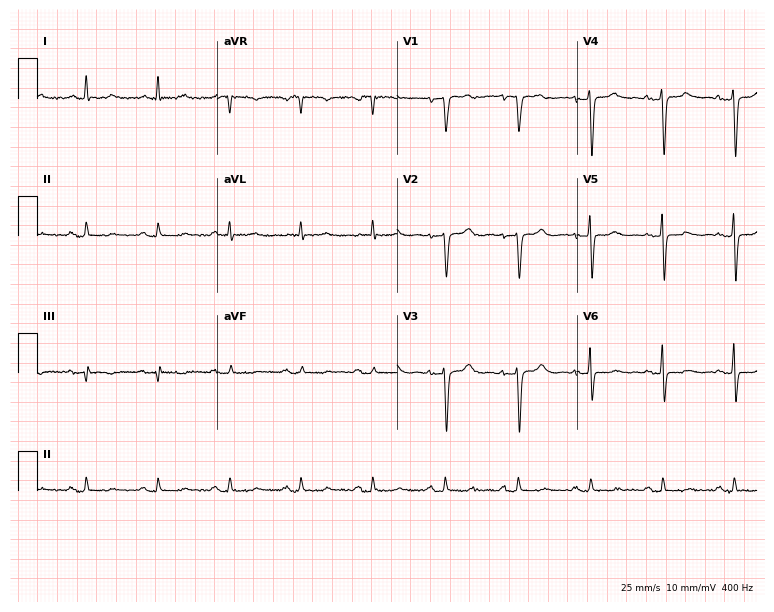
Resting 12-lead electrocardiogram. Patient: a 62-year-old woman. None of these six findings is recorded: first-degree AV block, right bundle branch block, left bundle branch block, sinus bradycardia, atrial fibrillation, sinus tachycardia.